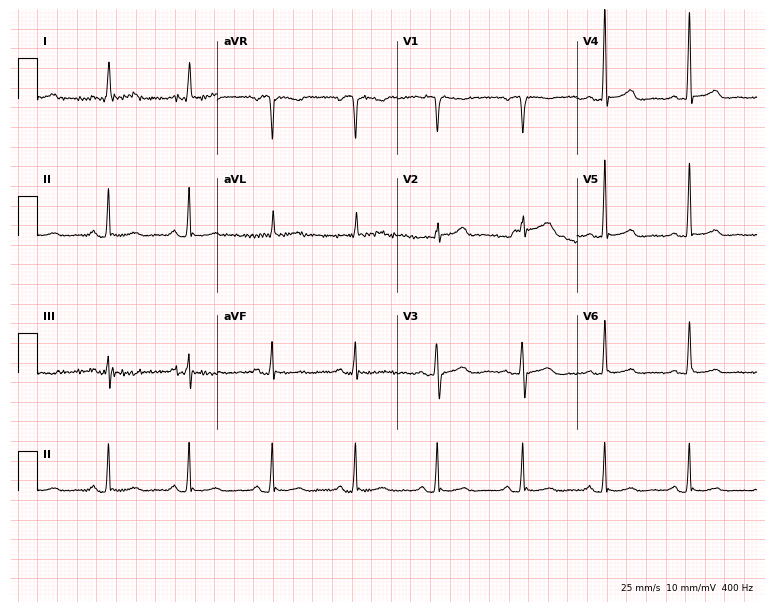
Standard 12-lead ECG recorded from a 72-year-old woman. Read as a normal ECG.